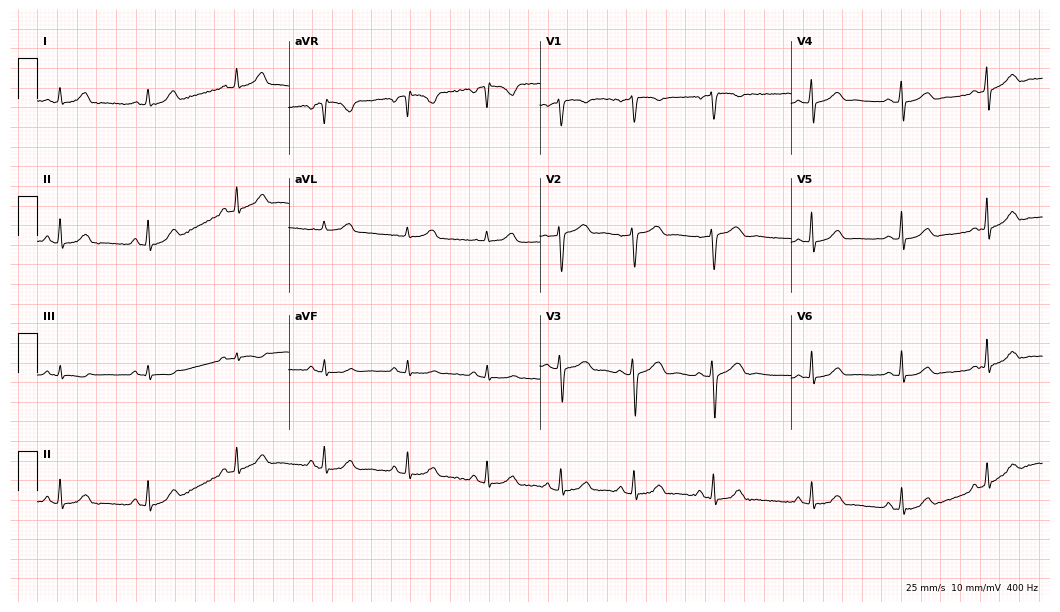
Resting 12-lead electrocardiogram. Patient: a woman, 45 years old. Read as a normal ECG.